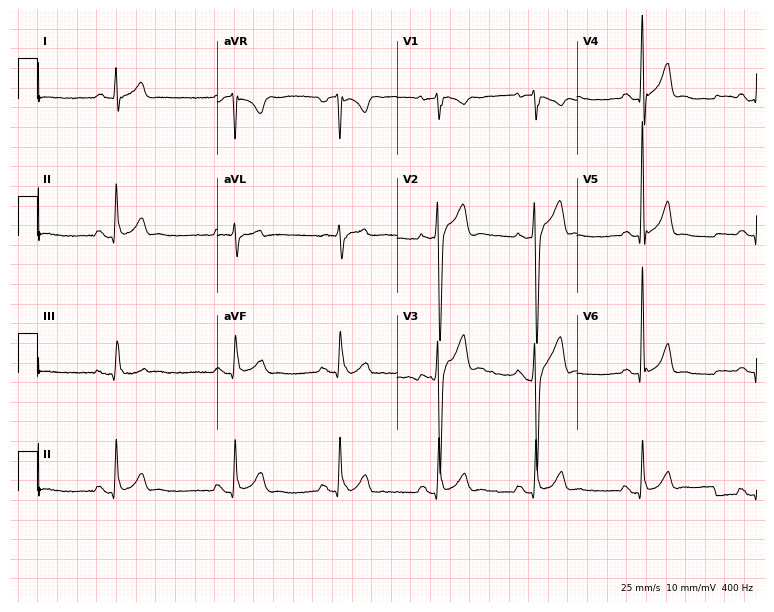
Resting 12-lead electrocardiogram. Patient: a male, 34 years old. None of these six findings is recorded: first-degree AV block, right bundle branch block, left bundle branch block, sinus bradycardia, atrial fibrillation, sinus tachycardia. Other findings, if any, are not listed.